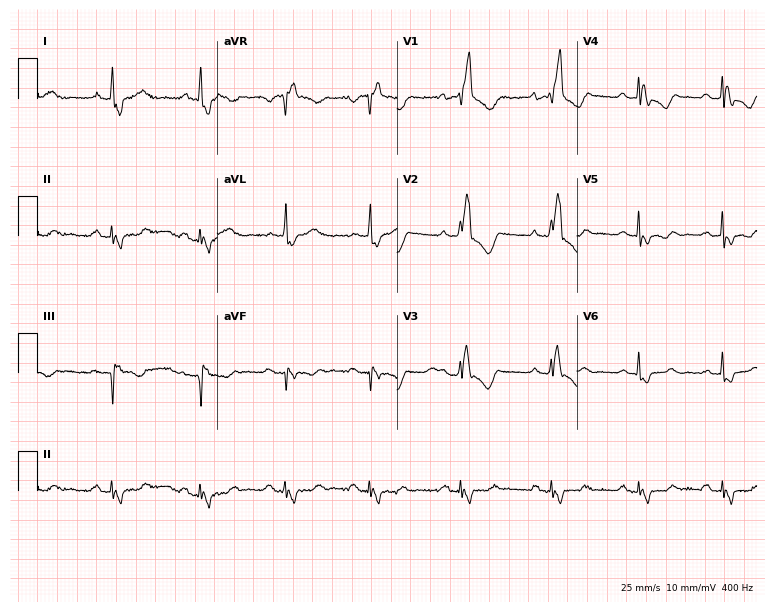
12-lead ECG (7.3-second recording at 400 Hz) from a woman, 70 years old. Findings include right bundle branch block (RBBB).